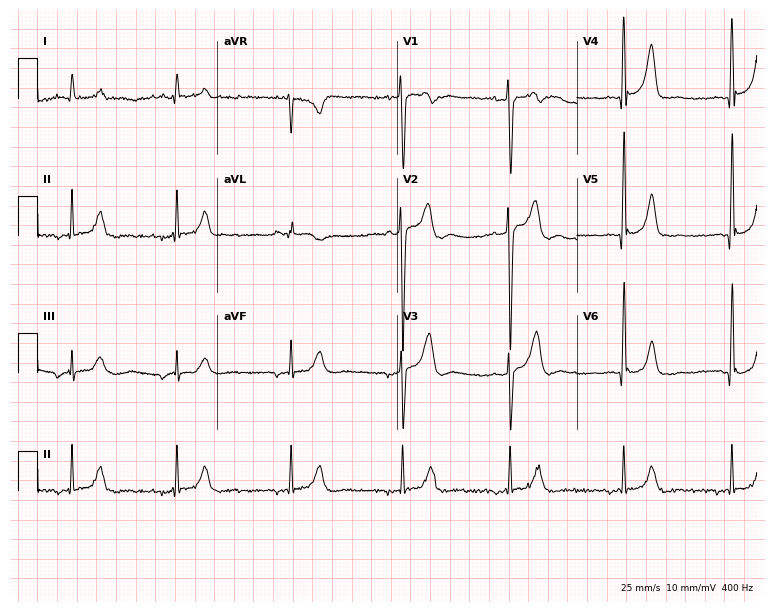
Standard 12-lead ECG recorded from a 50-year-old male (7.3-second recording at 400 Hz). None of these six findings is recorded: first-degree AV block, right bundle branch block, left bundle branch block, sinus bradycardia, atrial fibrillation, sinus tachycardia.